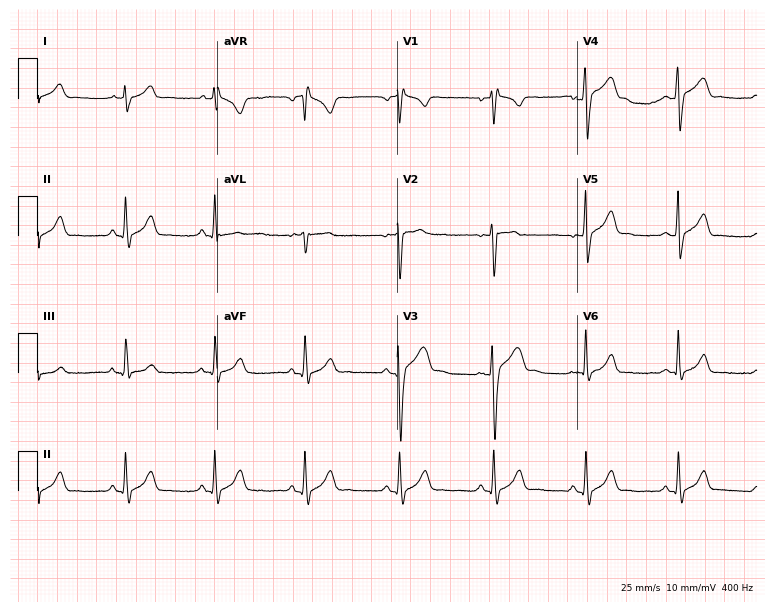
Electrocardiogram, a man, 21 years old. Of the six screened findings (first-degree AV block, right bundle branch block (RBBB), left bundle branch block (LBBB), sinus bradycardia, atrial fibrillation (AF), sinus tachycardia), none is recorded.